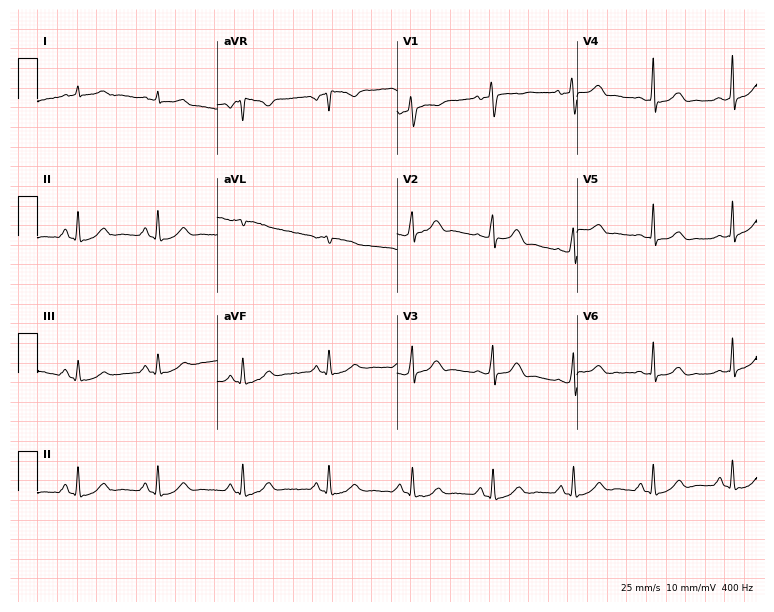
Electrocardiogram, a 49-year-old man. Of the six screened findings (first-degree AV block, right bundle branch block, left bundle branch block, sinus bradycardia, atrial fibrillation, sinus tachycardia), none is recorded.